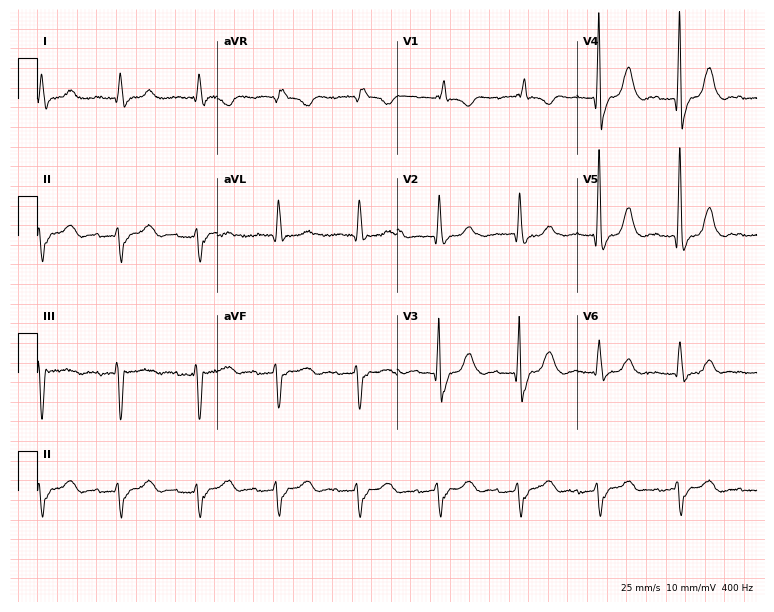
Electrocardiogram (7.3-second recording at 400 Hz), a male patient, 80 years old. Interpretation includes right bundle branch block (RBBB).